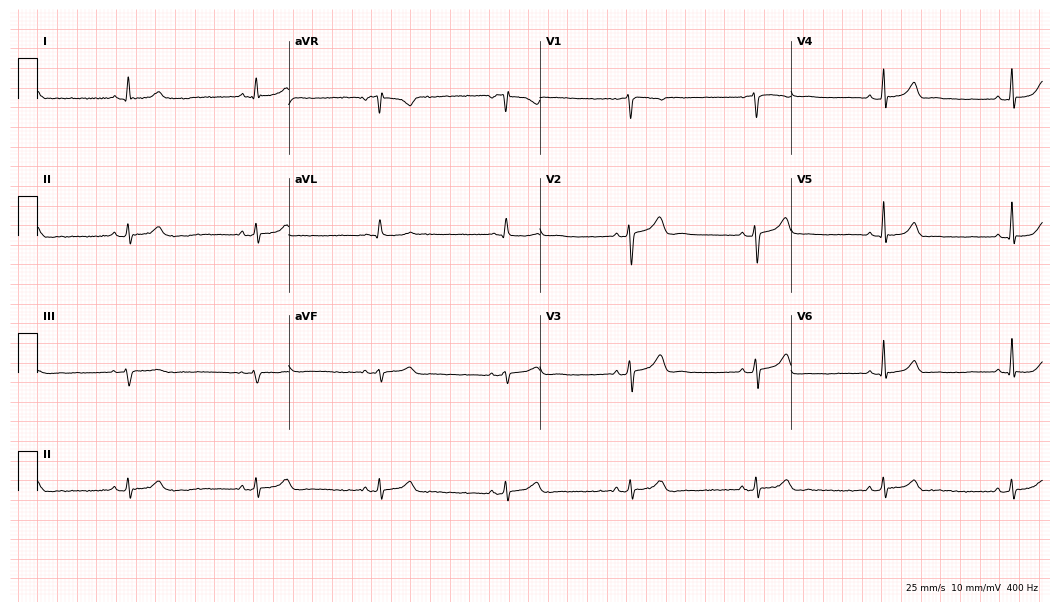
Electrocardiogram (10.2-second recording at 400 Hz), a 53-year-old woman. Of the six screened findings (first-degree AV block, right bundle branch block, left bundle branch block, sinus bradycardia, atrial fibrillation, sinus tachycardia), none is recorded. Only these six findings were labelled.